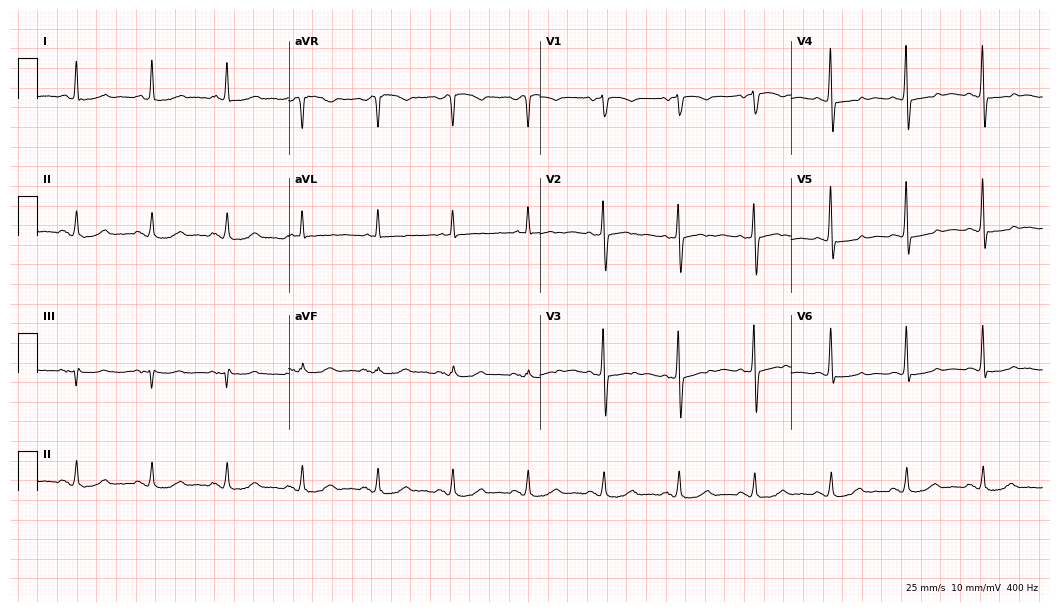
Electrocardiogram (10.2-second recording at 400 Hz), a 74-year-old female patient. Of the six screened findings (first-degree AV block, right bundle branch block, left bundle branch block, sinus bradycardia, atrial fibrillation, sinus tachycardia), none is recorded.